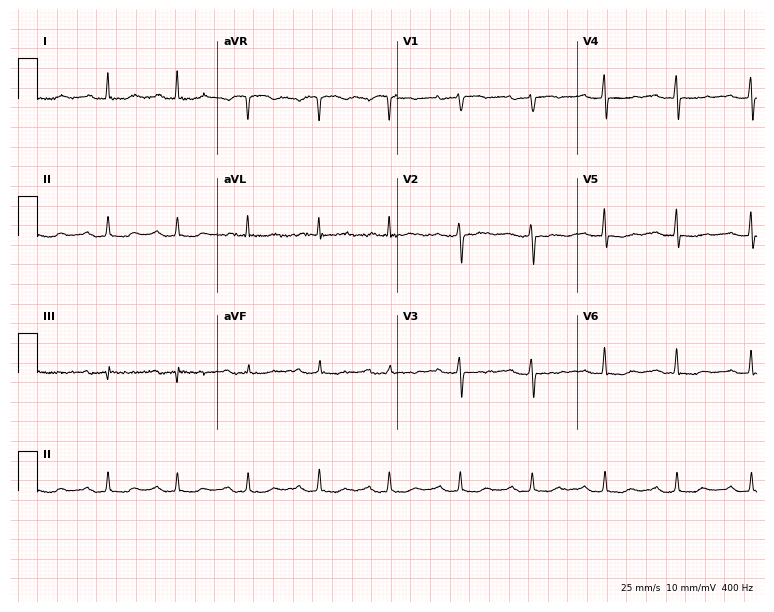
12-lead ECG (7.3-second recording at 400 Hz) from a 69-year-old female patient. Findings include first-degree AV block.